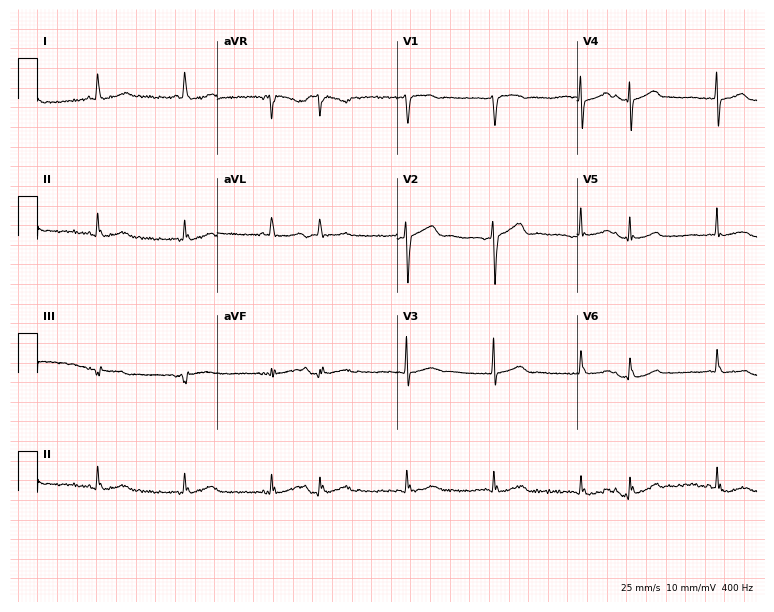
Resting 12-lead electrocardiogram. Patient: an 81-year-old woman. Read as a normal ECG.